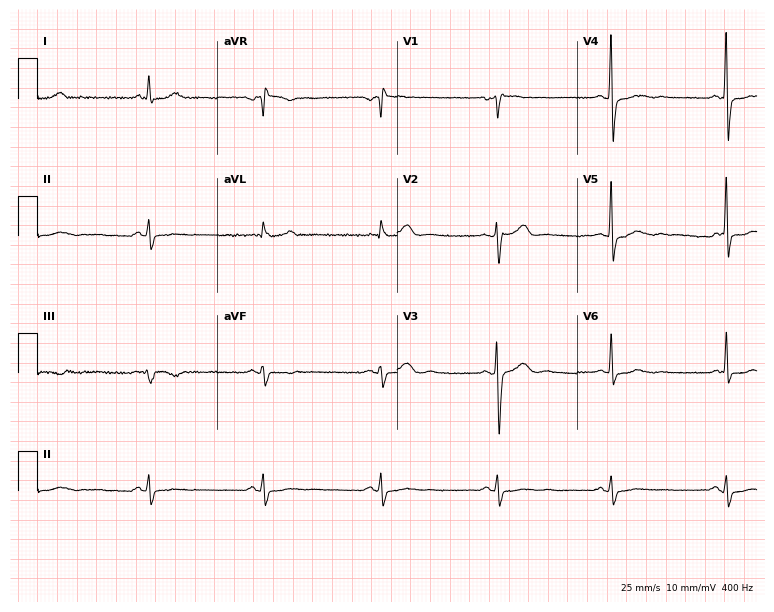
12-lead ECG from a male patient, 55 years old (7.3-second recording at 400 Hz). No first-degree AV block, right bundle branch block, left bundle branch block, sinus bradycardia, atrial fibrillation or sinus tachycardia recorded for this tracing.